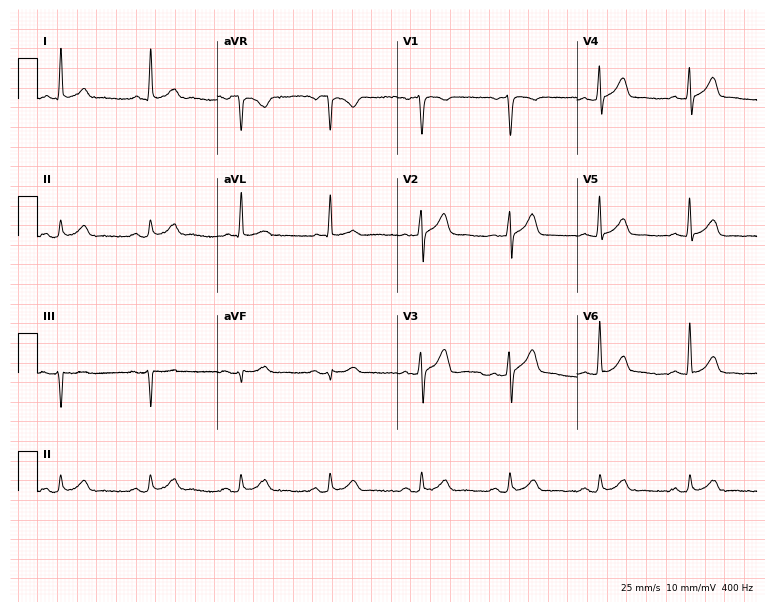
Standard 12-lead ECG recorded from a male, 50 years old (7.3-second recording at 400 Hz). None of these six findings is recorded: first-degree AV block, right bundle branch block (RBBB), left bundle branch block (LBBB), sinus bradycardia, atrial fibrillation (AF), sinus tachycardia. Other findings, if any, are not listed.